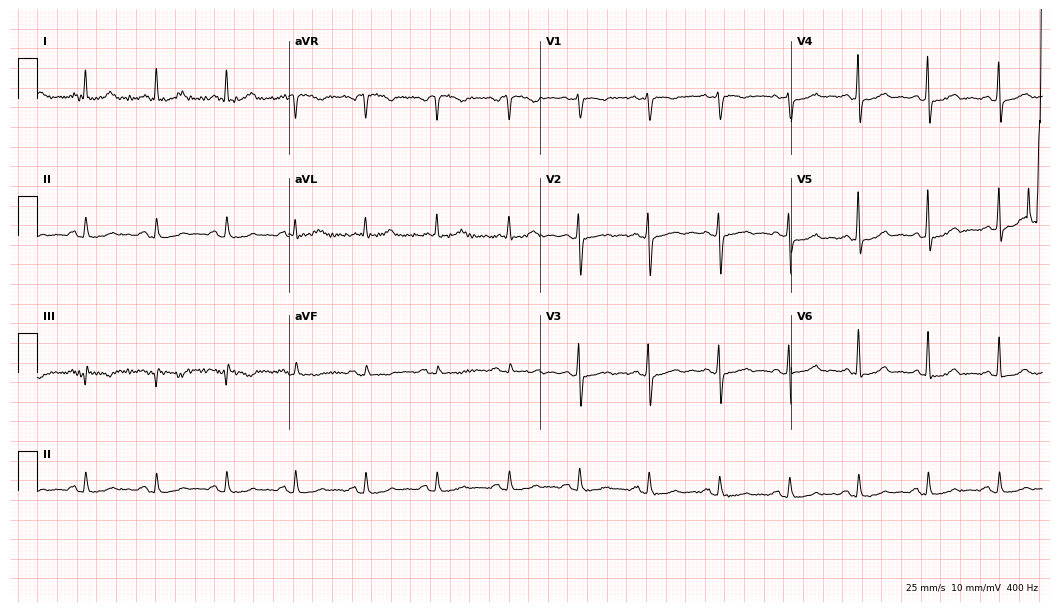
ECG — a 70-year-old female patient. Screened for six findings — first-degree AV block, right bundle branch block, left bundle branch block, sinus bradycardia, atrial fibrillation, sinus tachycardia — none is recorded.